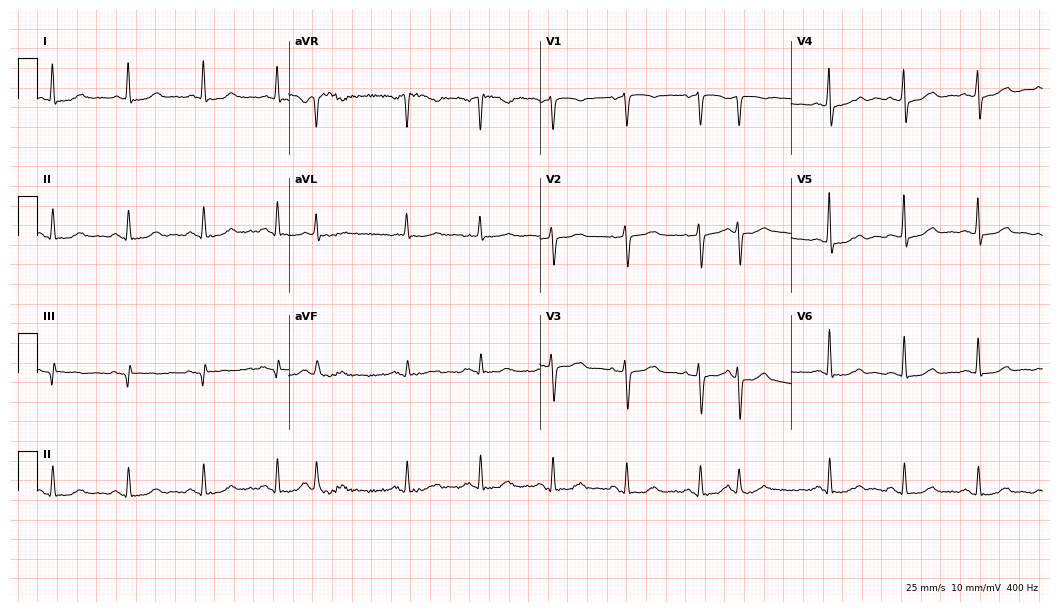
Electrocardiogram (10.2-second recording at 400 Hz), a woman, 70 years old. Of the six screened findings (first-degree AV block, right bundle branch block (RBBB), left bundle branch block (LBBB), sinus bradycardia, atrial fibrillation (AF), sinus tachycardia), none is recorded.